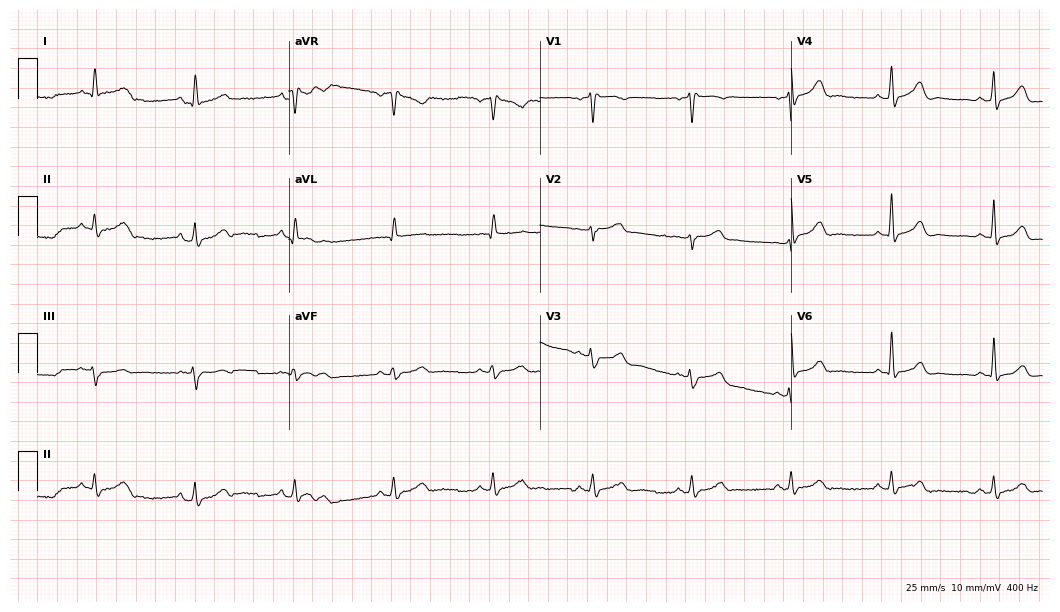
Resting 12-lead electrocardiogram. Patient: a 64-year-old male. None of these six findings is recorded: first-degree AV block, right bundle branch block (RBBB), left bundle branch block (LBBB), sinus bradycardia, atrial fibrillation (AF), sinus tachycardia.